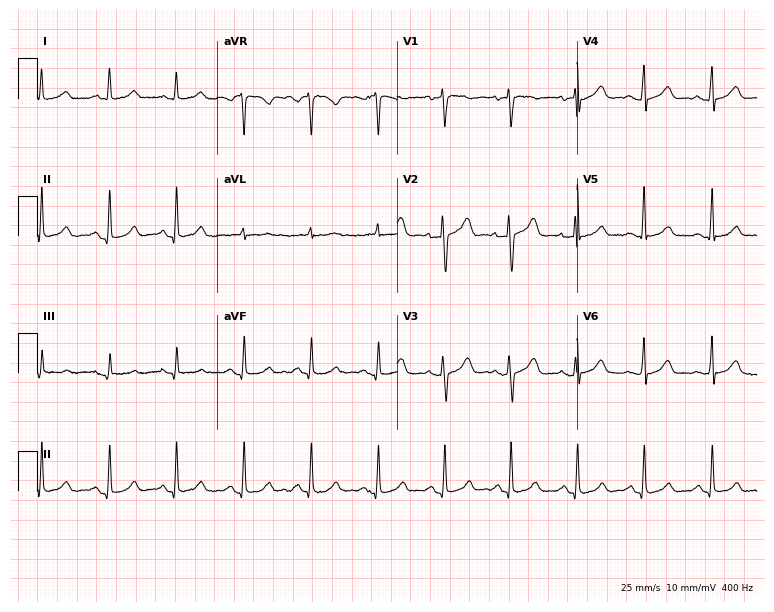
ECG — a female patient, 55 years old. Labelled as a normal ECG.